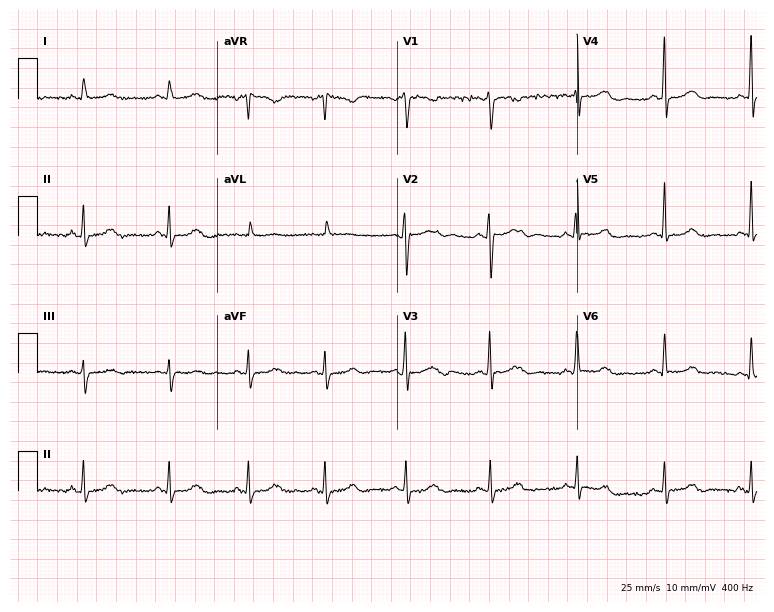
12-lead ECG from a woman, 44 years old. Screened for six findings — first-degree AV block, right bundle branch block (RBBB), left bundle branch block (LBBB), sinus bradycardia, atrial fibrillation (AF), sinus tachycardia — none is recorded. Other findings, if any, are not listed.